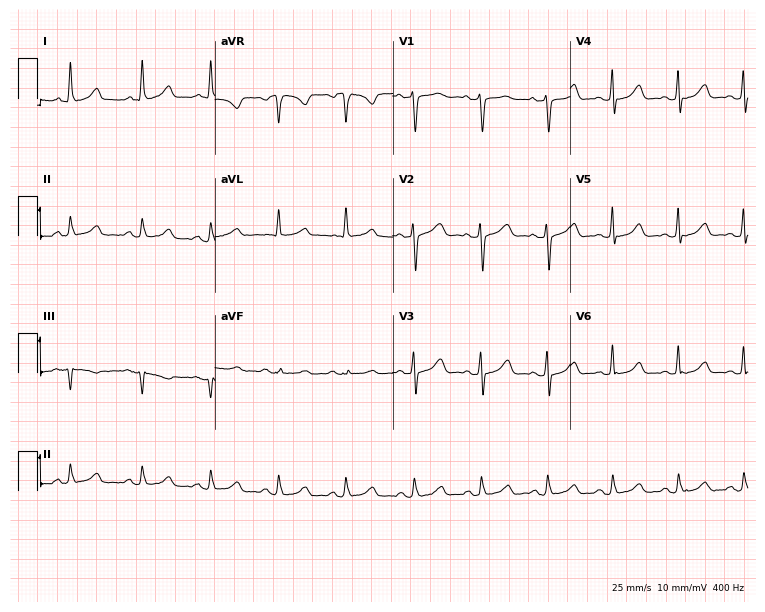
Resting 12-lead electrocardiogram (7.2-second recording at 400 Hz). Patient: a 51-year-old female. Read as a normal ECG.